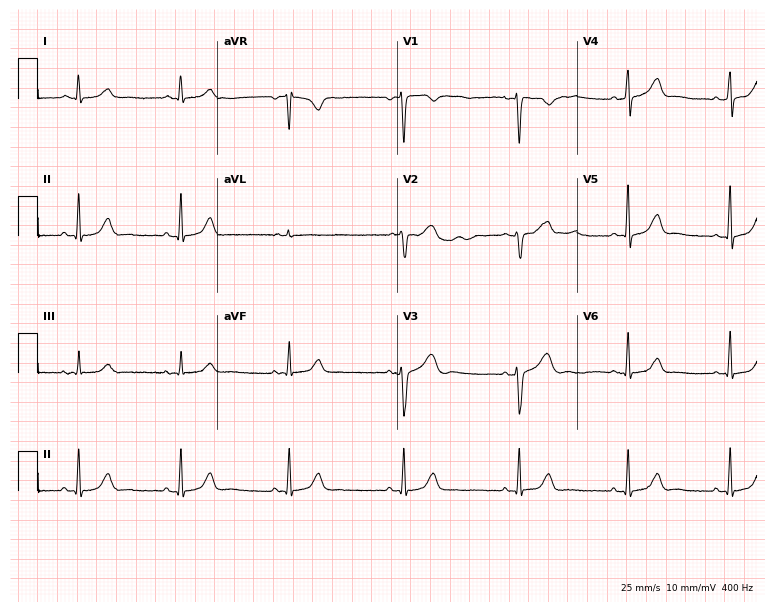
Resting 12-lead electrocardiogram. Patient: a woman, 38 years old. None of these six findings is recorded: first-degree AV block, right bundle branch block, left bundle branch block, sinus bradycardia, atrial fibrillation, sinus tachycardia. Findings outside these six are not listed.